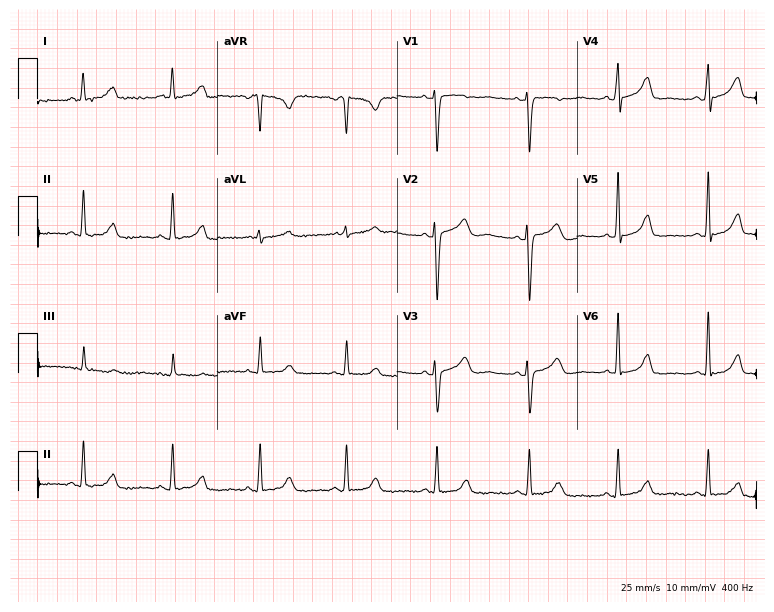
Electrocardiogram (7.3-second recording at 400 Hz), a woman, 53 years old. Of the six screened findings (first-degree AV block, right bundle branch block, left bundle branch block, sinus bradycardia, atrial fibrillation, sinus tachycardia), none is recorded. Other findings, if any, are not listed.